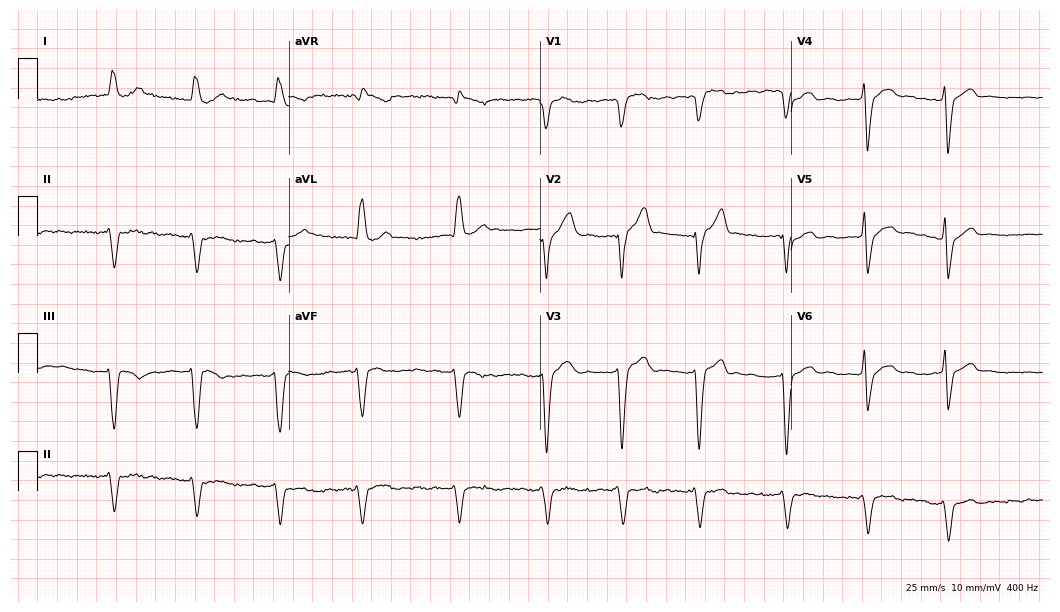
ECG — a male patient, 81 years old. Findings include left bundle branch block, atrial fibrillation.